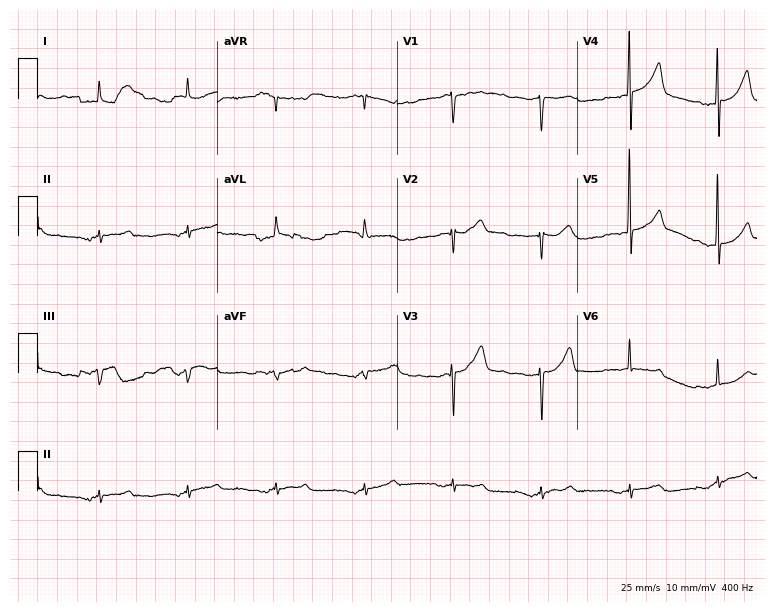
Standard 12-lead ECG recorded from a male patient, 76 years old (7.3-second recording at 400 Hz). None of these six findings is recorded: first-degree AV block, right bundle branch block (RBBB), left bundle branch block (LBBB), sinus bradycardia, atrial fibrillation (AF), sinus tachycardia. Only these six findings were labelled.